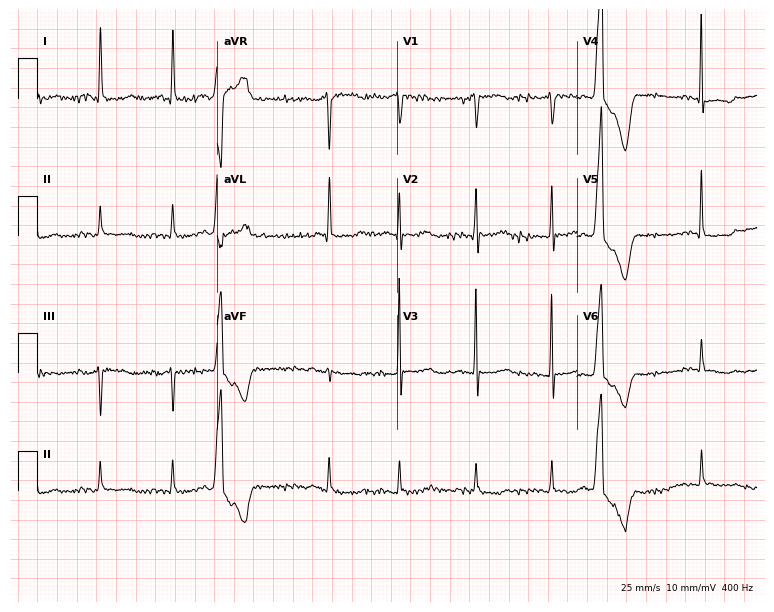
Electrocardiogram (7.3-second recording at 400 Hz), a 74-year-old female patient. Of the six screened findings (first-degree AV block, right bundle branch block (RBBB), left bundle branch block (LBBB), sinus bradycardia, atrial fibrillation (AF), sinus tachycardia), none is recorded.